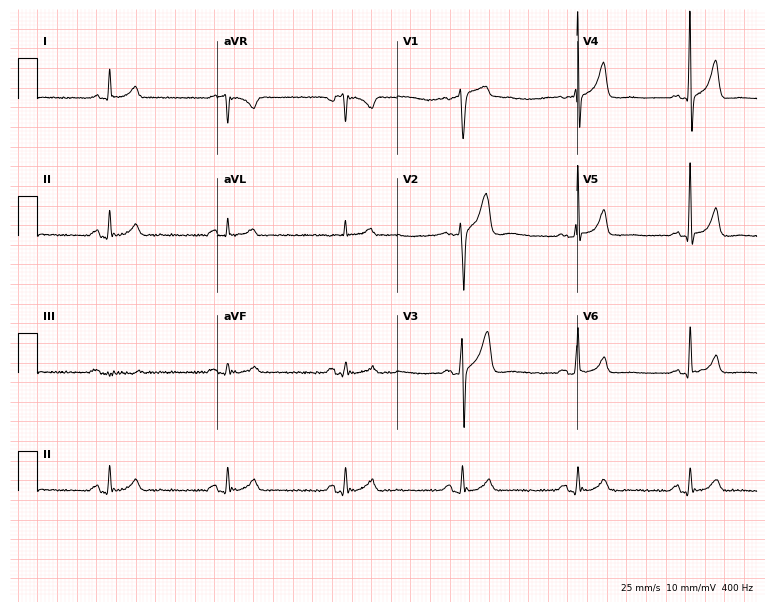
Resting 12-lead electrocardiogram. Patient: a 65-year-old male. Read as a normal ECG.